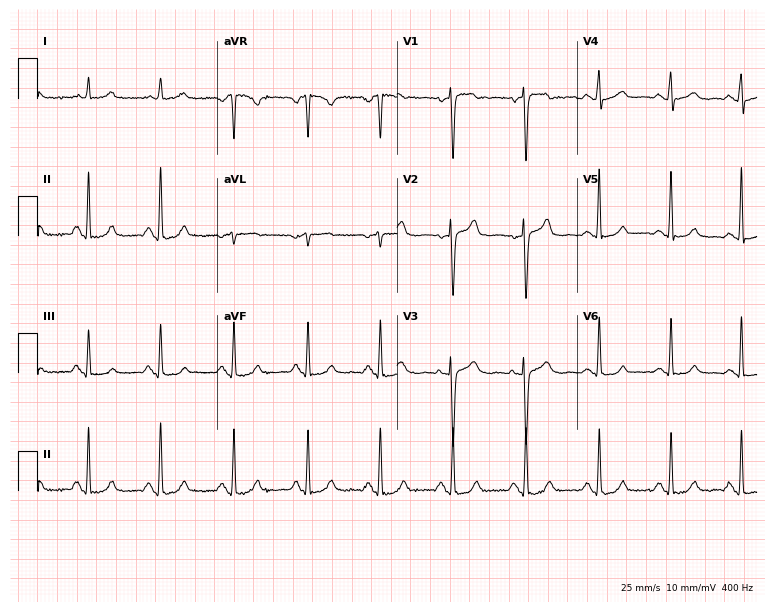
ECG — a 63-year-old female patient. Labelled as a normal ECG.